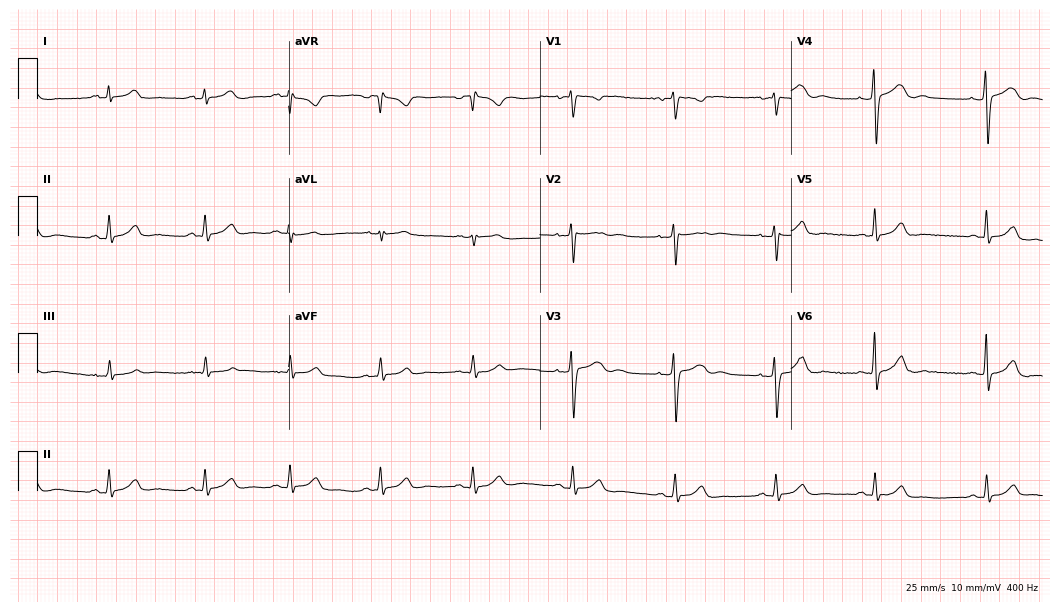
12-lead ECG (10.2-second recording at 400 Hz) from a female, 35 years old. Labelled as a normal ECG.